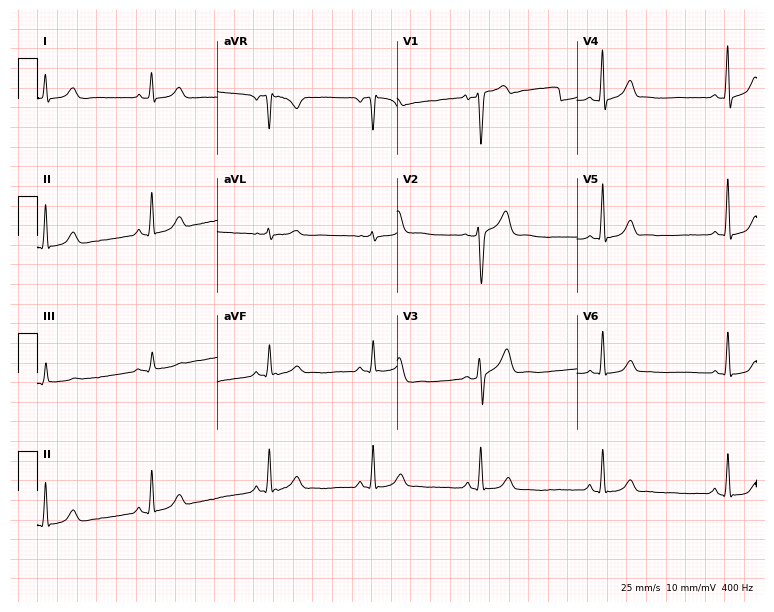
12-lead ECG from a 35-year-old man (7.3-second recording at 400 Hz). No first-degree AV block, right bundle branch block, left bundle branch block, sinus bradycardia, atrial fibrillation or sinus tachycardia recorded for this tracing.